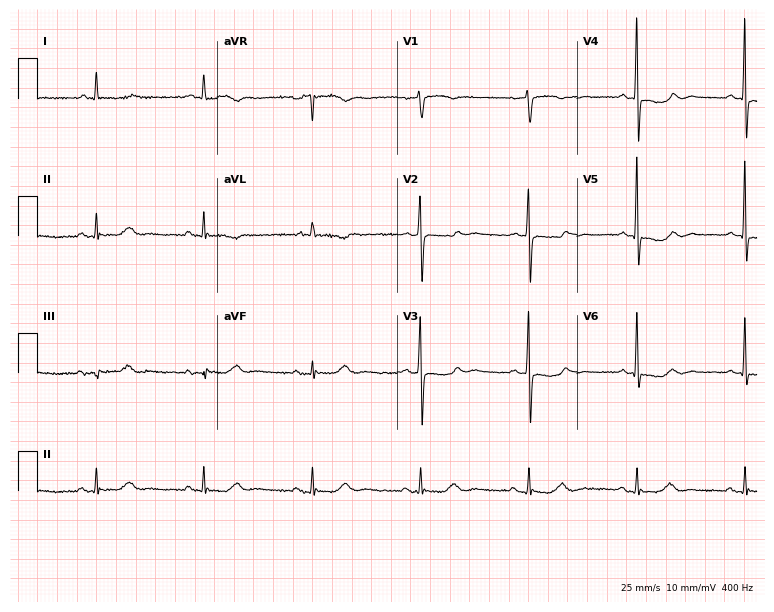
ECG — a 79-year-old male patient. Screened for six findings — first-degree AV block, right bundle branch block (RBBB), left bundle branch block (LBBB), sinus bradycardia, atrial fibrillation (AF), sinus tachycardia — none is recorded.